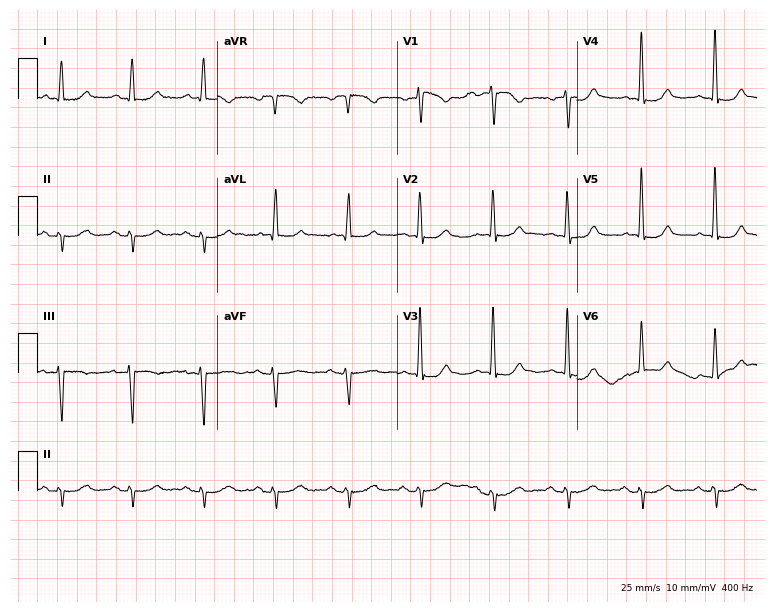
Standard 12-lead ECG recorded from an 81-year-old female (7.3-second recording at 400 Hz). None of these six findings is recorded: first-degree AV block, right bundle branch block (RBBB), left bundle branch block (LBBB), sinus bradycardia, atrial fibrillation (AF), sinus tachycardia. Findings outside these six are not listed.